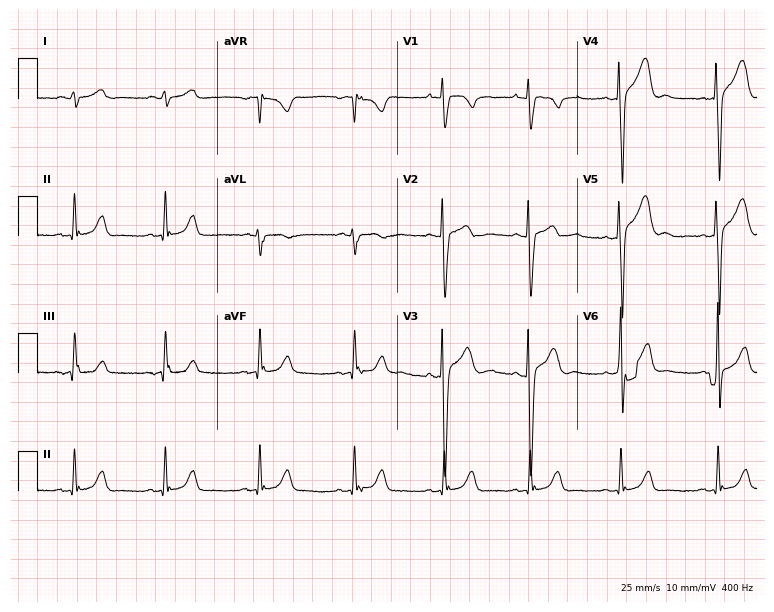
Resting 12-lead electrocardiogram. Patient: a 24-year-old man. None of these six findings is recorded: first-degree AV block, right bundle branch block, left bundle branch block, sinus bradycardia, atrial fibrillation, sinus tachycardia.